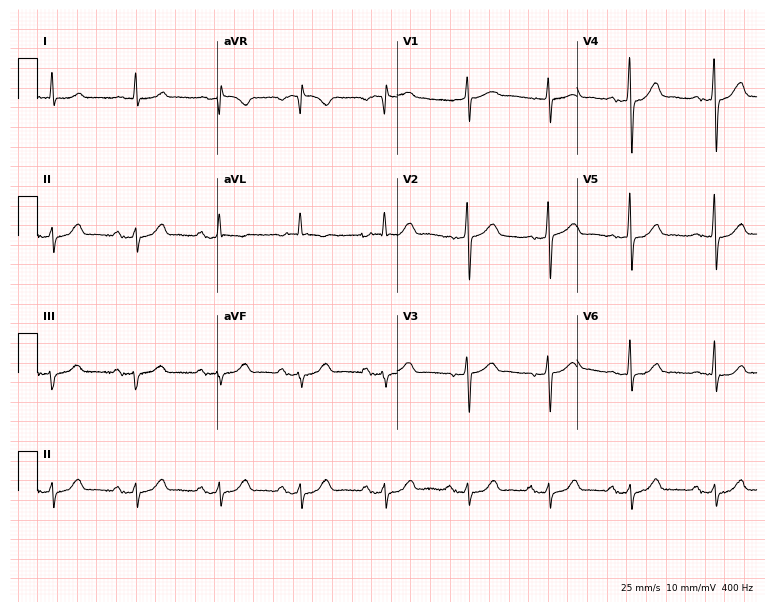
Resting 12-lead electrocardiogram. Patient: an 83-year-old male. None of these six findings is recorded: first-degree AV block, right bundle branch block, left bundle branch block, sinus bradycardia, atrial fibrillation, sinus tachycardia.